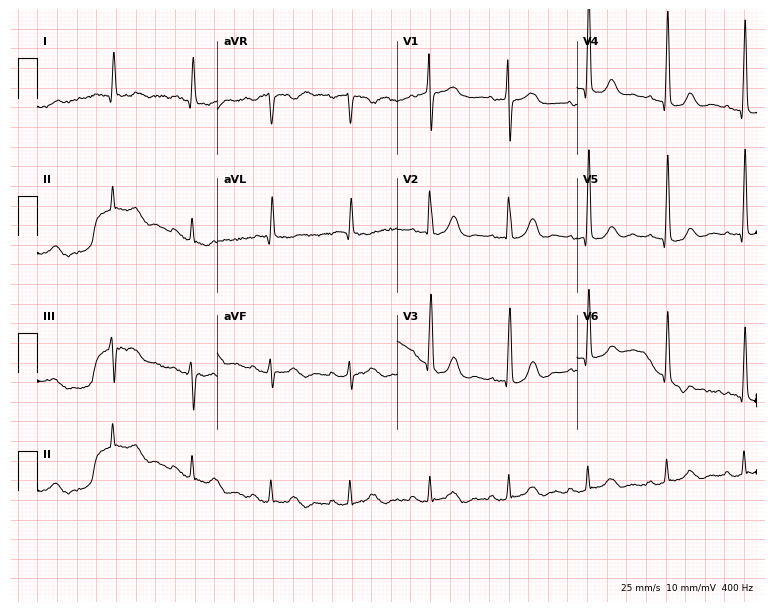
Electrocardiogram (7.3-second recording at 400 Hz), a female, 82 years old. Of the six screened findings (first-degree AV block, right bundle branch block, left bundle branch block, sinus bradycardia, atrial fibrillation, sinus tachycardia), none is recorded.